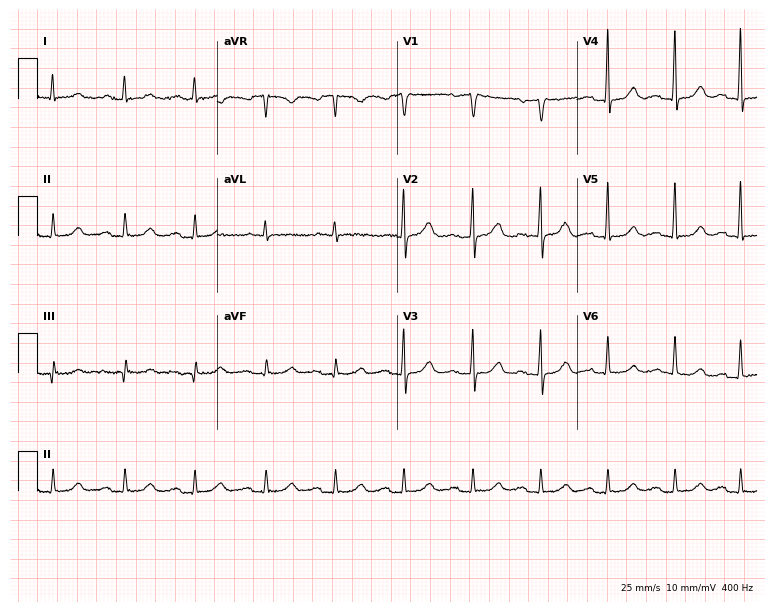
Standard 12-lead ECG recorded from a female patient, 63 years old (7.3-second recording at 400 Hz). The tracing shows first-degree AV block.